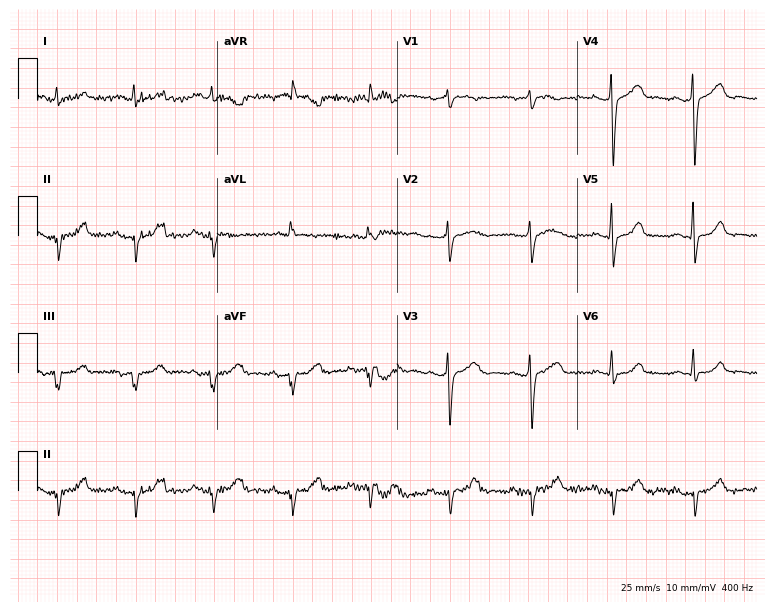
12-lead ECG from an 85-year-old female. Screened for six findings — first-degree AV block, right bundle branch block, left bundle branch block, sinus bradycardia, atrial fibrillation, sinus tachycardia — none is recorded.